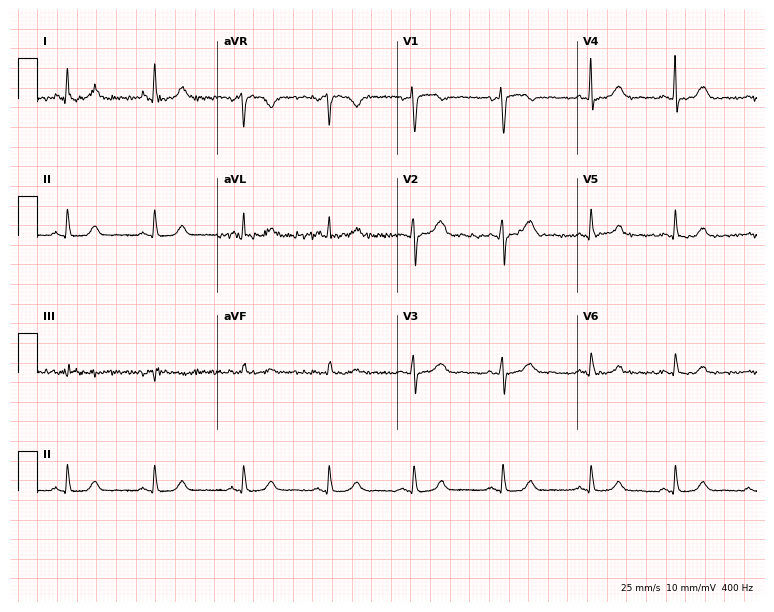
Electrocardiogram, a female patient, 51 years old. Overall reading on record: normal ECG.